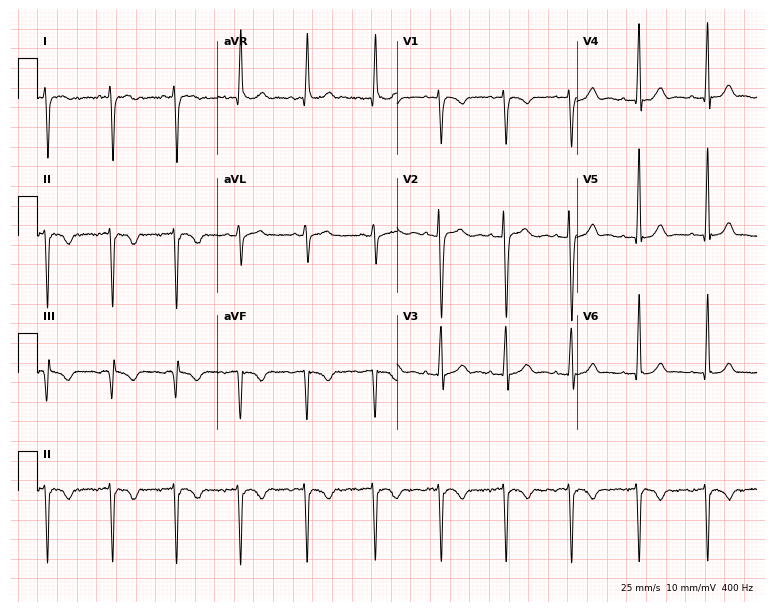
Electrocardiogram, a female patient, 29 years old. Of the six screened findings (first-degree AV block, right bundle branch block, left bundle branch block, sinus bradycardia, atrial fibrillation, sinus tachycardia), none is recorded. Findings outside these six are not listed.